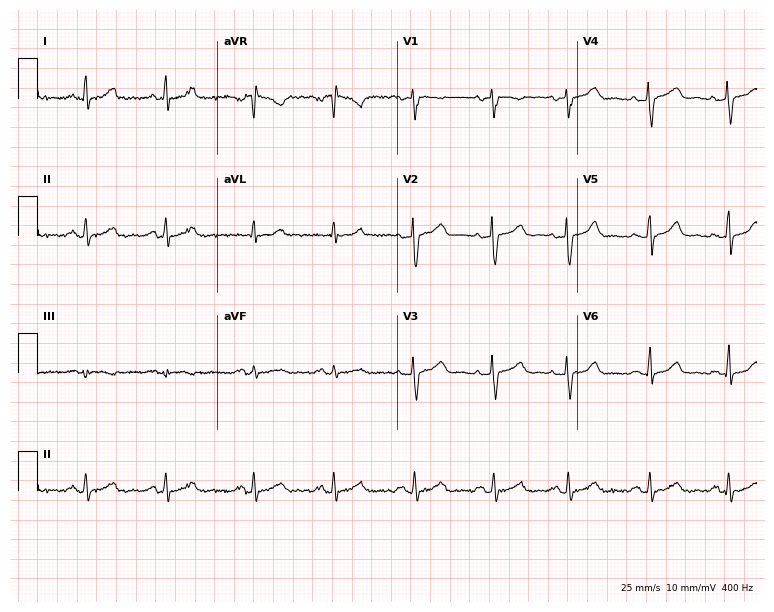
Electrocardiogram, a 33-year-old female. Of the six screened findings (first-degree AV block, right bundle branch block, left bundle branch block, sinus bradycardia, atrial fibrillation, sinus tachycardia), none is recorded. Findings outside these six are not listed.